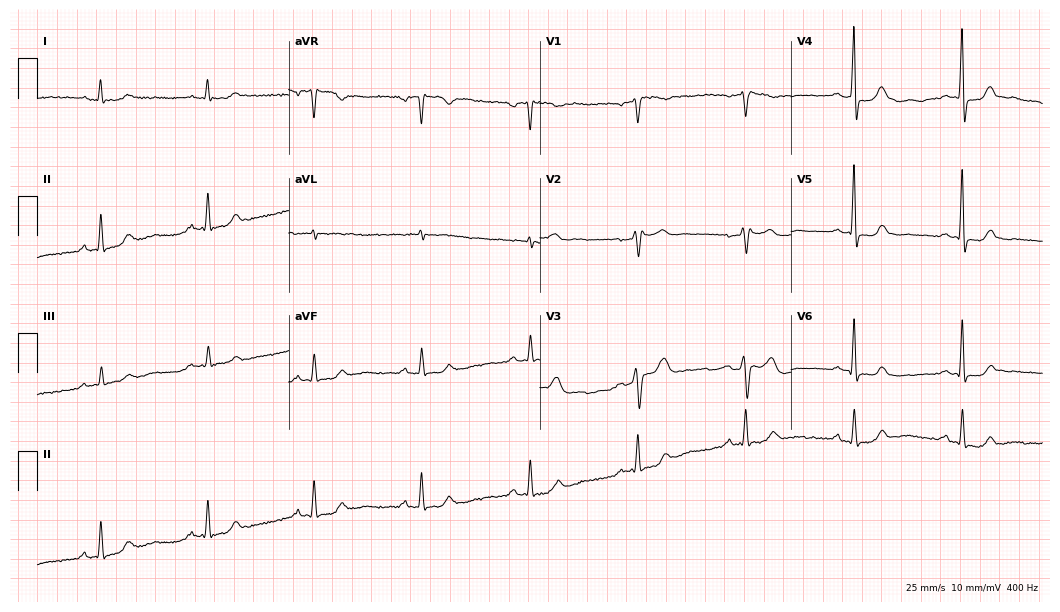
12-lead ECG from a male patient, 52 years old. Screened for six findings — first-degree AV block, right bundle branch block (RBBB), left bundle branch block (LBBB), sinus bradycardia, atrial fibrillation (AF), sinus tachycardia — none is recorded. Other findings, if any, are not listed.